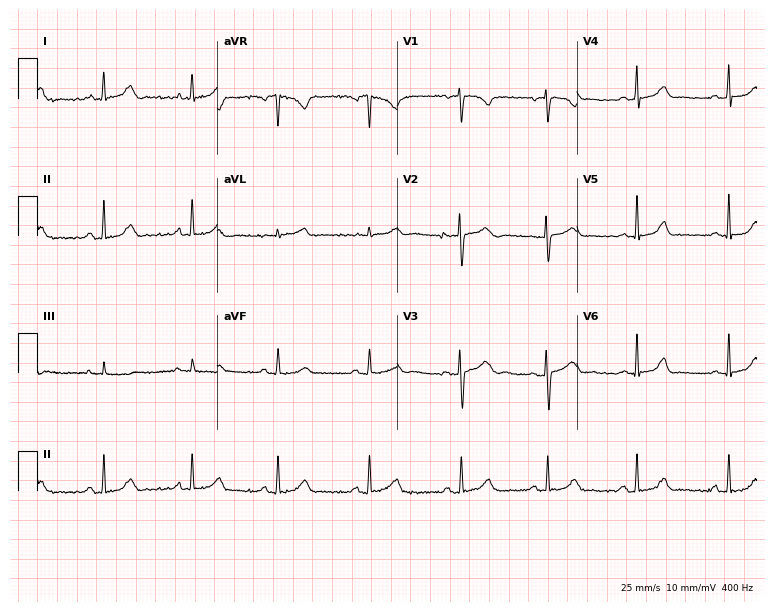
Resting 12-lead electrocardiogram. Patient: a 24-year-old woman. Read as a normal ECG.